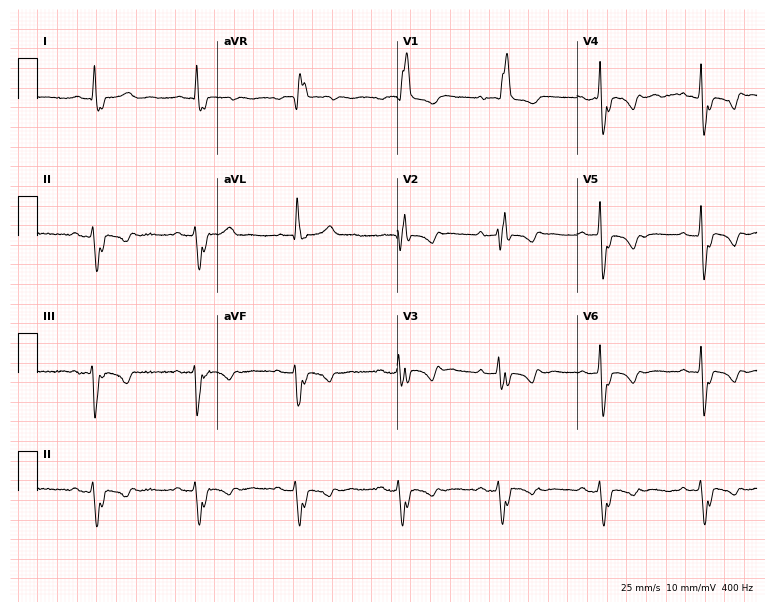
Electrocardiogram, a male patient, 68 years old. Of the six screened findings (first-degree AV block, right bundle branch block, left bundle branch block, sinus bradycardia, atrial fibrillation, sinus tachycardia), none is recorded.